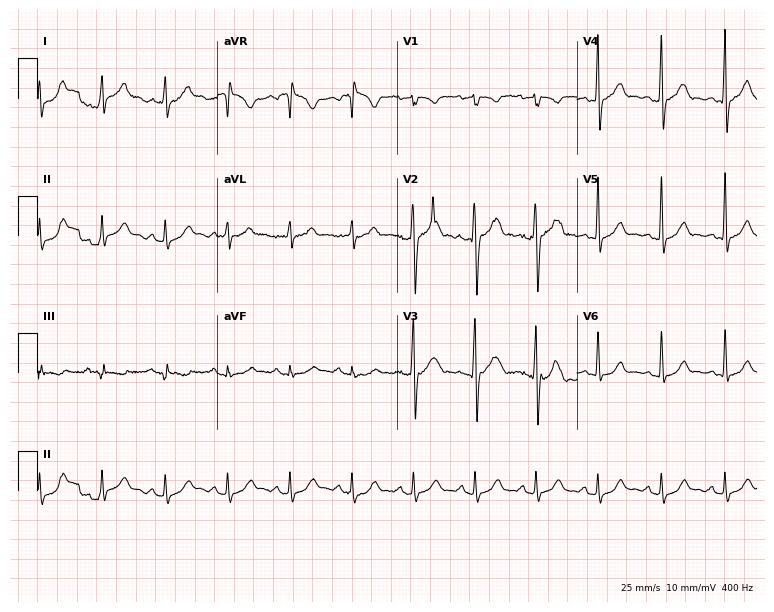
Standard 12-lead ECG recorded from a 32-year-old male. None of these six findings is recorded: first-degree AV block, right bundle branch block, left bundle branch block, sinus bradycardia, atrial fibrillation, sinus tachycardia.